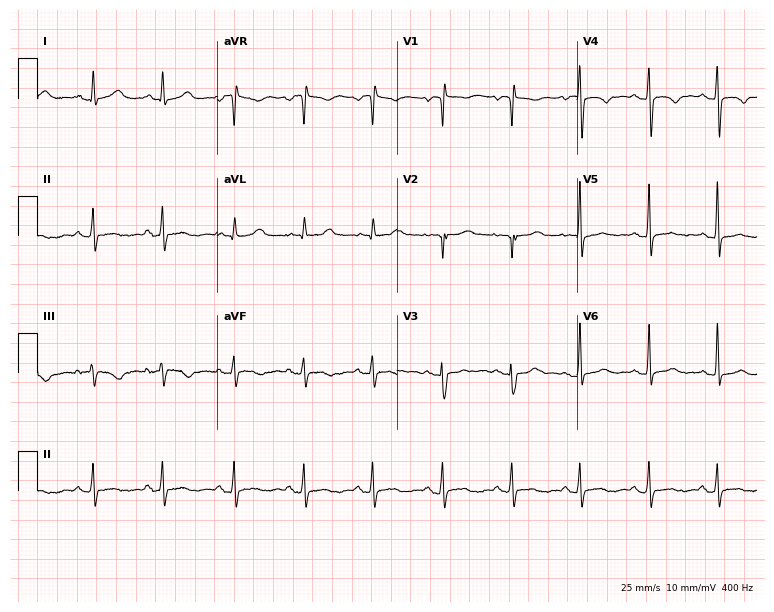
ECG — a female, 17 years old. Screened for six findings — first-degree AV block, right bundle branch block, left bundle branch block, sinus bradycardia, atrial fibrillation, sinus tachycardia — none is recorded.